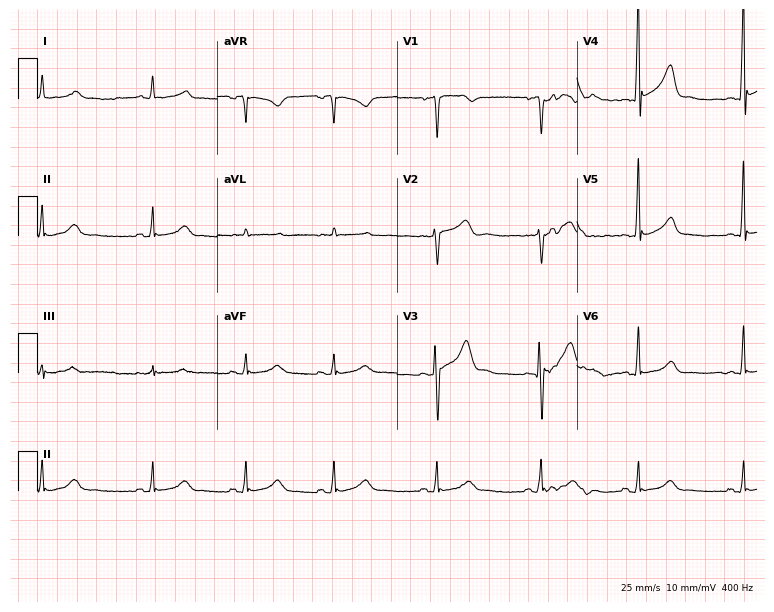
Electrocardiogram, a male, 47 years old. Of the six screened findings (first-degree AV block, right bundle branch block, left bundle branch block, sinus bradycardia, atrial fibrillation, sinus tachycardia), none is recorded.